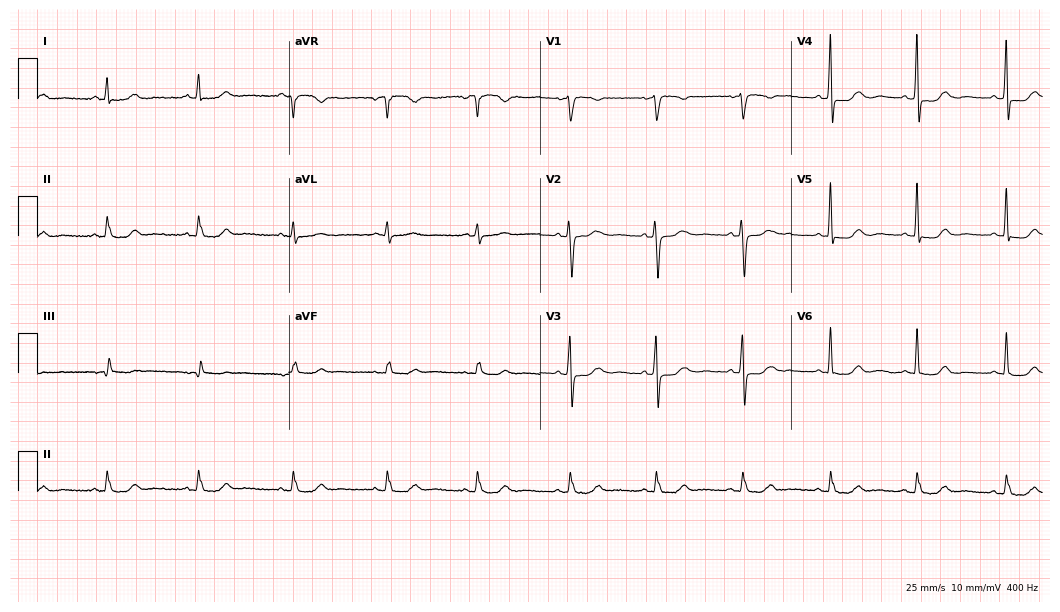
Standard 12-lead ECG recorded from a 60-year-old woman. None of these six findings is recorded: first-degree AV block, right bundle branch block (RBBB), left bundle branch block (LBBB), sinus bradycardia, atrial fibrillation (AF), sinus tachycardia.